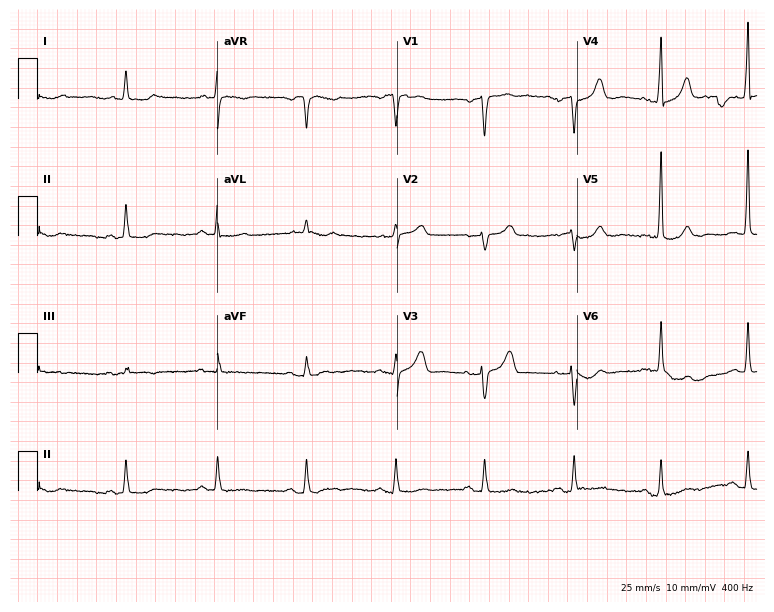
Electrocardiogram (7.3-second recording at 400 Hz), an 80-year-old woman. Overall reading on record: normal ECG.